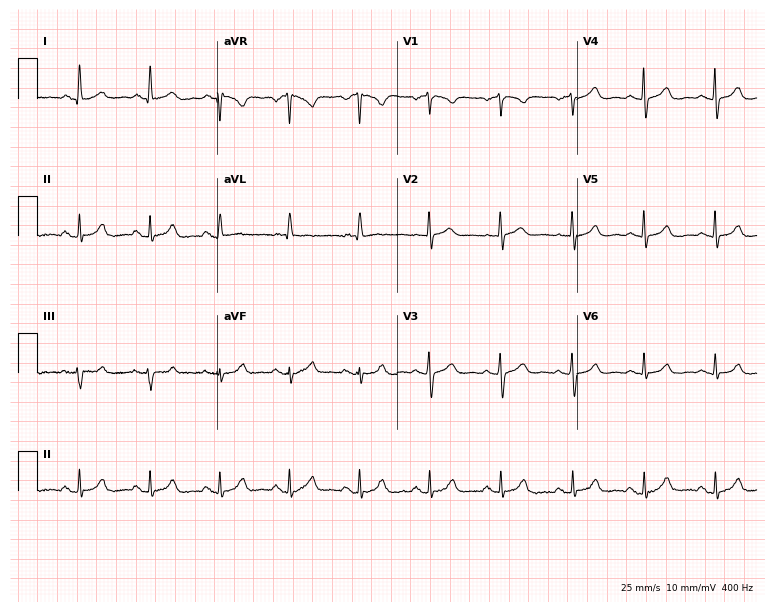
12-lead ECG from a female patient, 65 years old. Recorded interpretation: within normal limits.